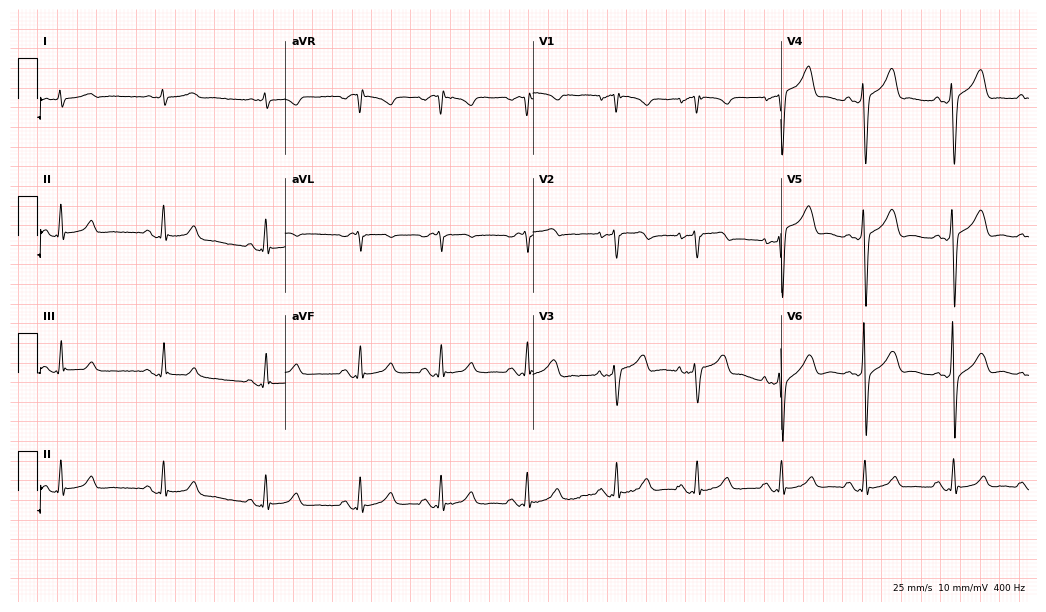
12-lead ECG (10.1-second recording at 400 Hz) from a 75-year-old man. Screened for six findings — first-degree AV block, right bundle branch block (RBBB), left bundle branch block (LBBB), sinus bradycardia, atrial fibrillation (AF), sinus tachycardia — none is recorded.